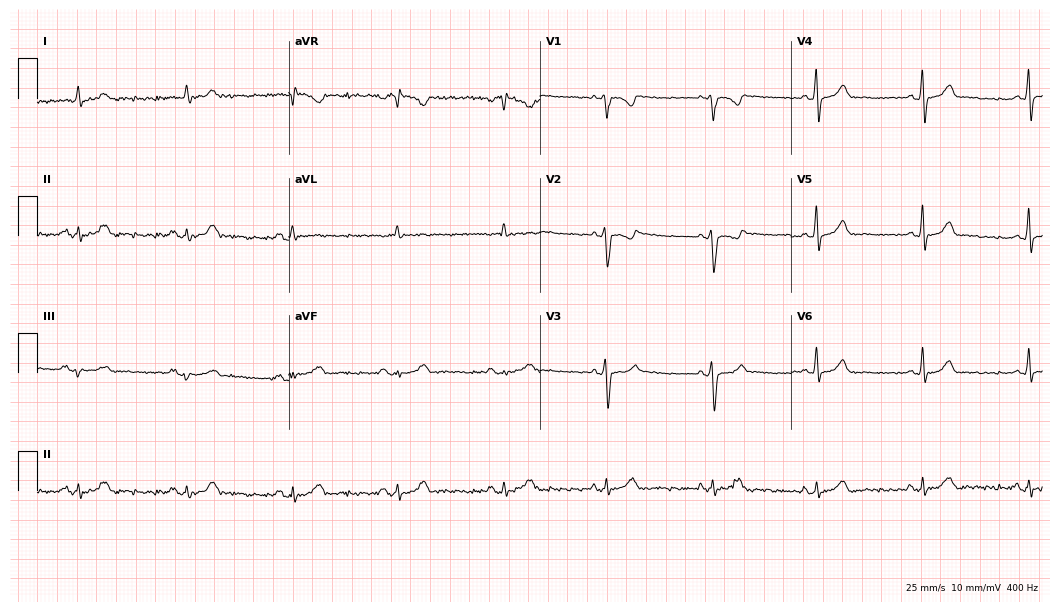
12-lead ECG from a 61-year-old male patient (10.2-second recording at 400 Hz). Recorded interpretation: within normal limits.